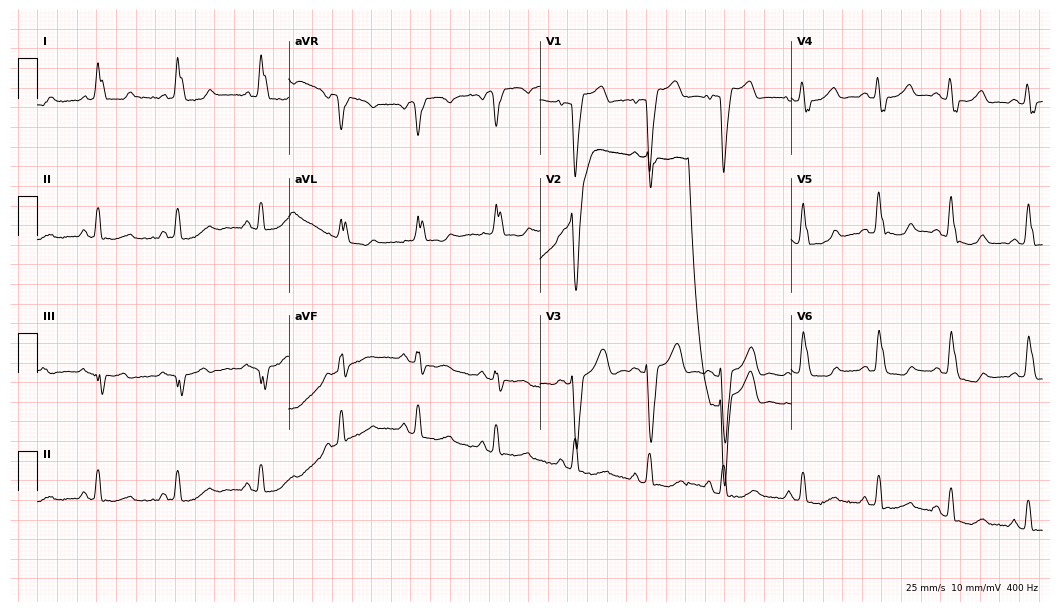
Electrocardiogram, a female, 61 years old. Interpretation includes left bundle branch block.